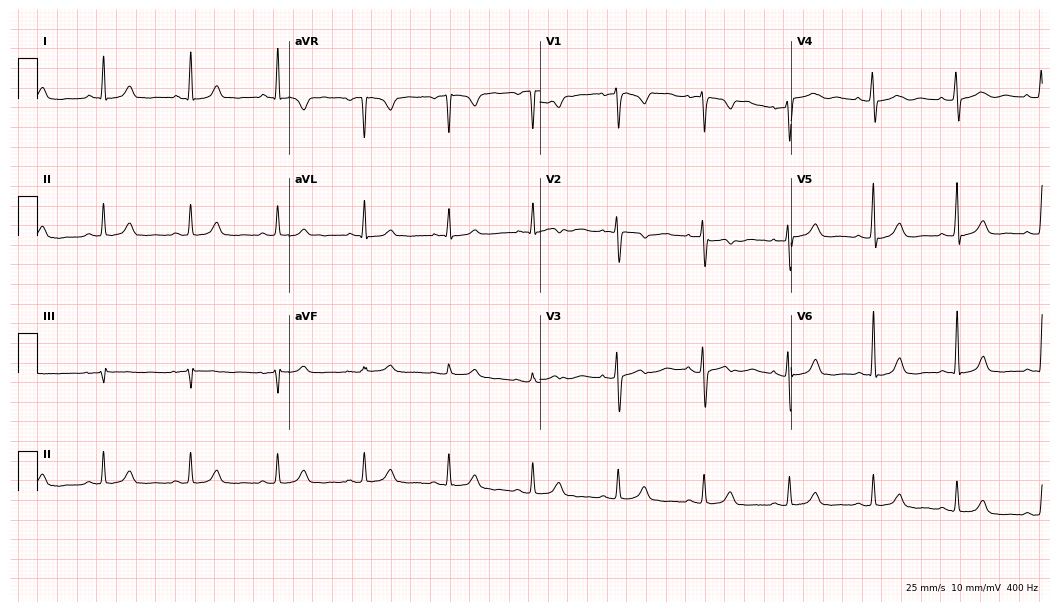
Standard 12-lead ECG recorded from a 55-year-old woman (10.2-second recording at 400 Hz). Read as a normal ECG.